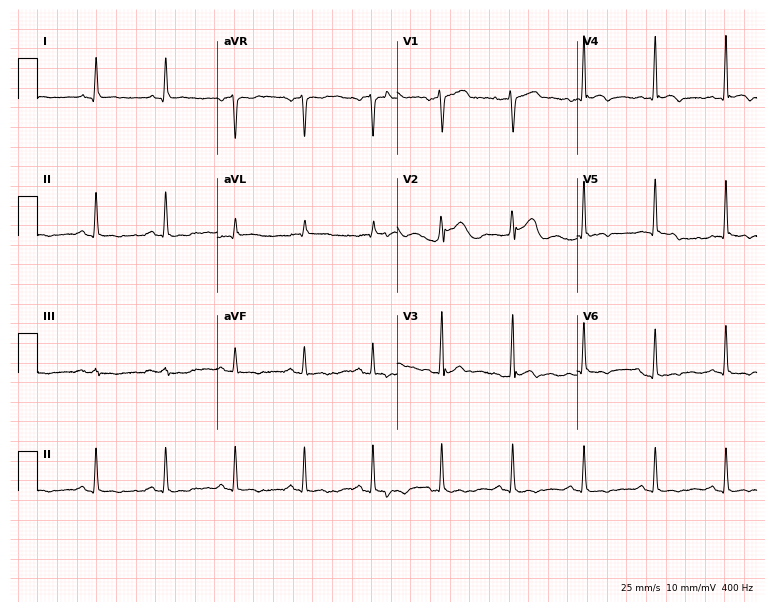
12-lead ECG from a 47-year-old male patient. No first-degree AV block, right bundle branch block (RBBB), left bundle branch block (LBBB), sinus bradycardia, atrial fibrillation (AF) or sinus tachycardia recorded for this tracing.